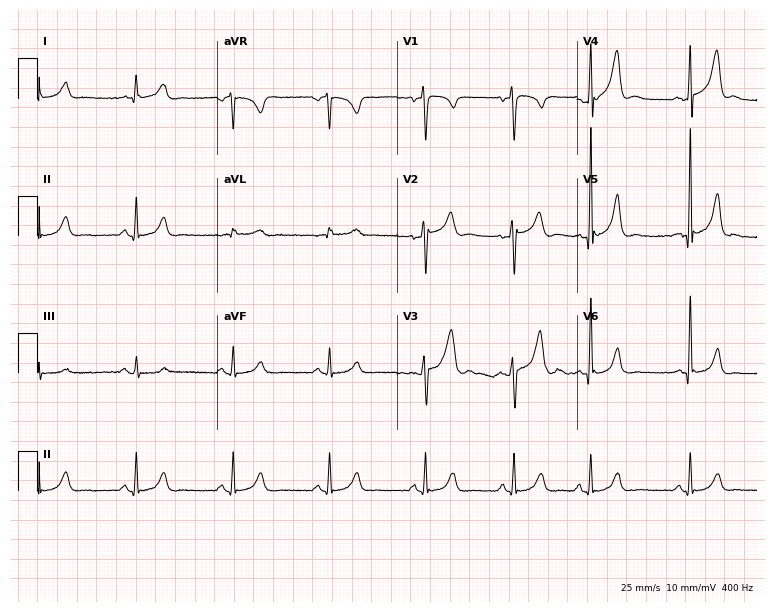
12-lead ECG from a 38-year-old male patient. No first-degree AV block, right bundle branch block (RBBB), left bundle branch block (LBBB), sinus bradycardia, atrial fibrillation (AF) or sinus tachycardia recorded for this tracing.